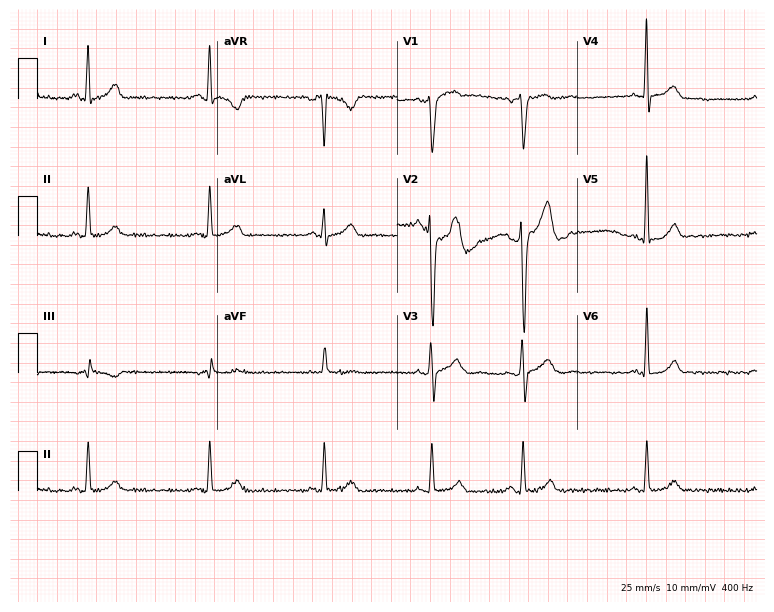
12-lead ECG from a 32-year-old male. No first-degree AV block, right bundle branch block (RBBB), left bundle branch block (LBBB), sinus bradycardia, atrial fibrillation (AF) or sinus tachycardia recorded for this tracing. Findings outside these six are not listed.